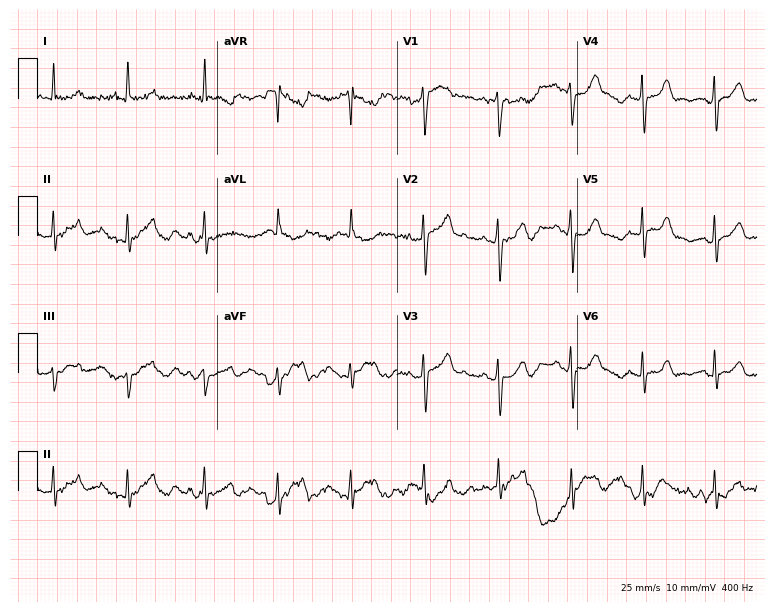
12-lead ECG (7.3-second recording at 400 Hz) from a 32-year-old male patient. Screened for six findings — first-degree AV block, right bundle branch block (RBBB), left bundle branch block (LBBB), sinus bradycardia, atrial fibrillation (AF), sinus tachycardia — none is recorded. Findings outside these six are not listed.